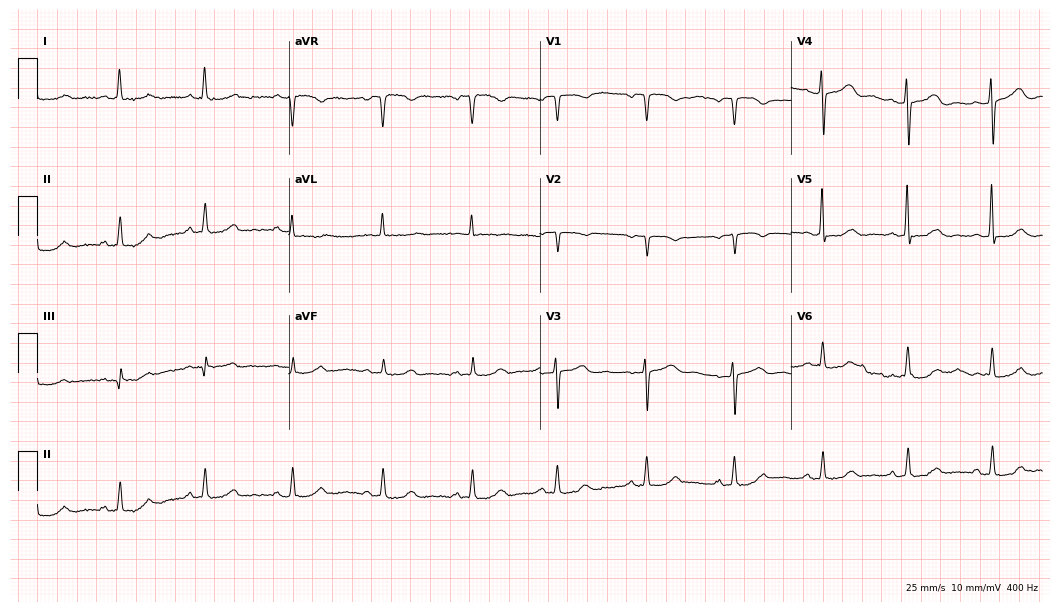
12-lead ECG from a female, 59 years old (10.2-second recording at 400 Hz). Recorded interpretation: within normal limits.